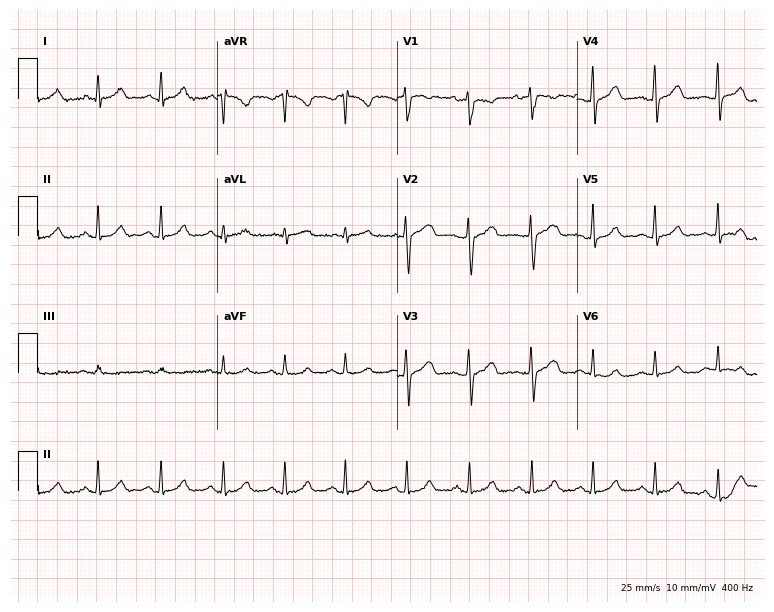
Electrocardiogram, a woman, 46 years old. Overall reading on record: normal ECG.